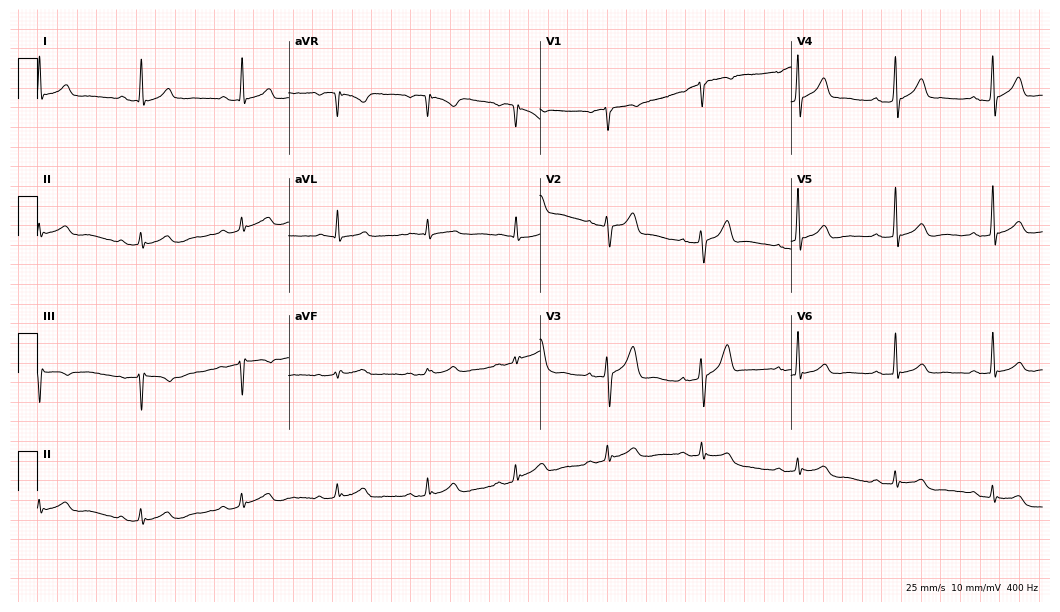
Resting 12-lead electrocardiogram. Patient: a 53-year-old male. Read as a normal ECG.